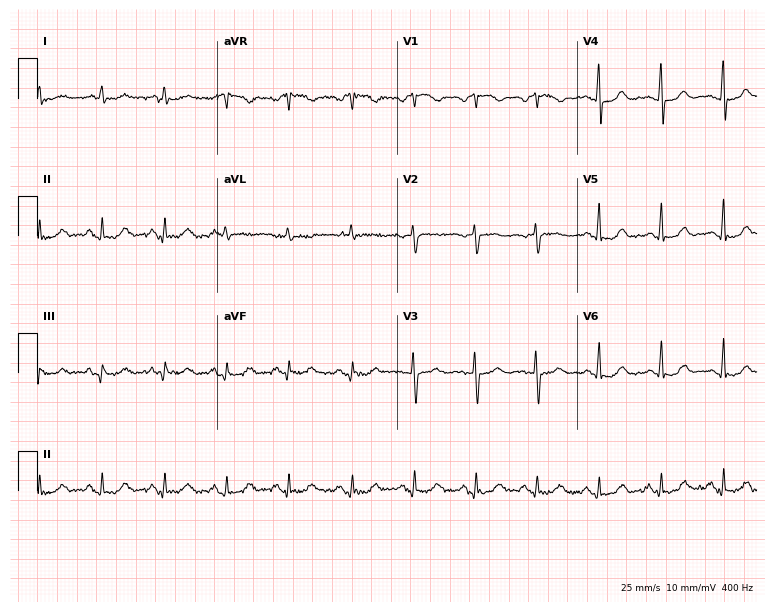
12-lead ECG (7.3-second recording at 400 Hz) from a 66-year-old female patient. Screened for six findings — first-degree AV block, right bundle branch block (RBBB), left bundle branch block (LBBB), sinus bradycardia, atrial fibrillation (AF), sinus tachycardia — none is recorded. Findings outside these six are not listed.